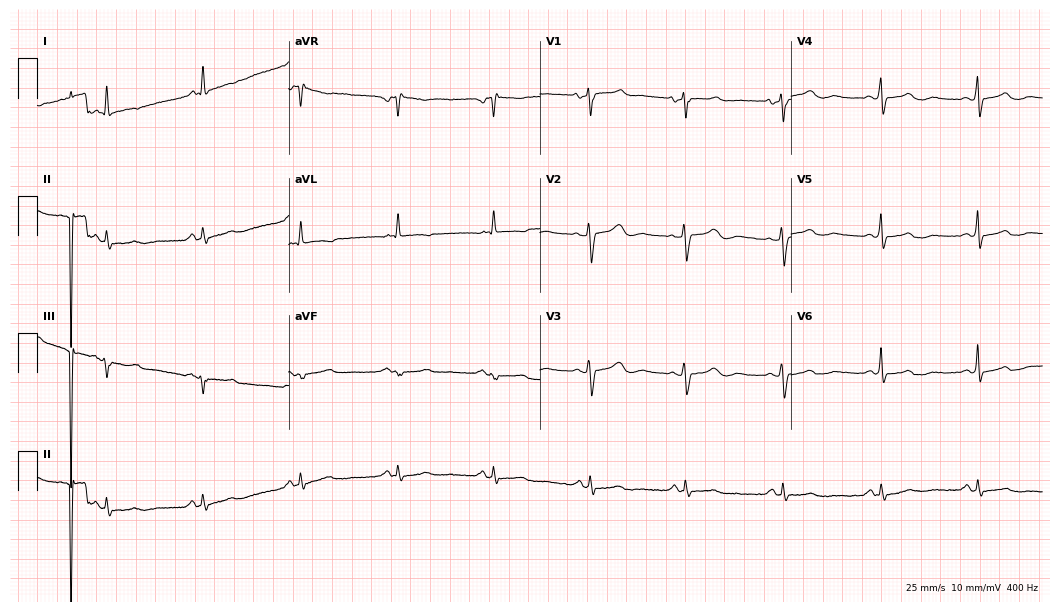
Resting 12-lead electrocardiogram. Patient: a woman, 60 years old. None of these six findings is recorded: first-degree AV block, right bundle branch block (RBBB), left bundle branch block (LBBB), sinus bradycardia, atrial fibrillation (AF), sinus tachycardia.